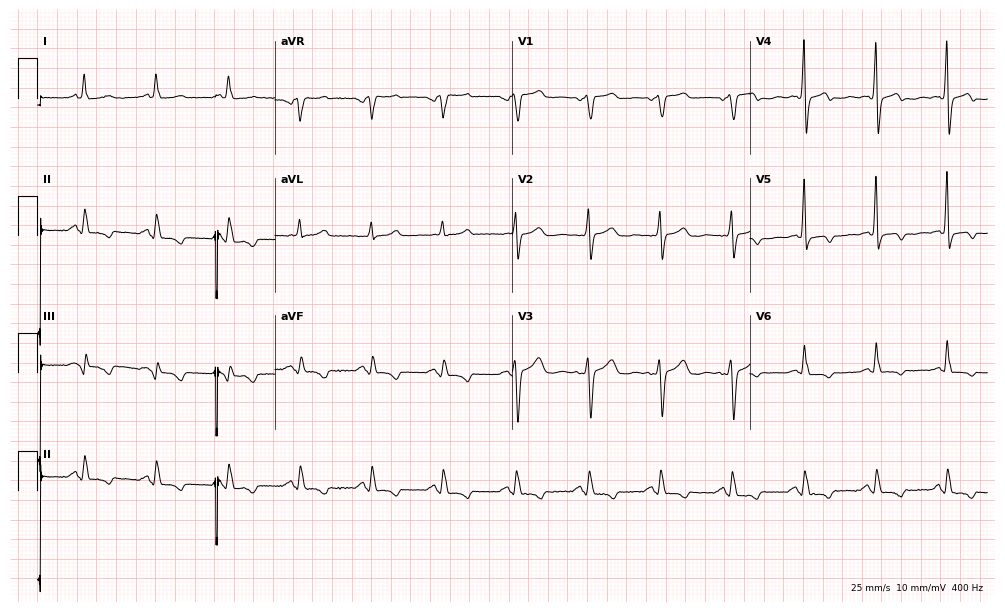
12-lead ECG from a woman, 49 years old (9.7-second recording at 400 Hz). No first-degree AV block, right bundle branch block, left bundle branch block, sinus bradycardia, atrial fibrillation or sinus tachycardia recorded for this tracing.